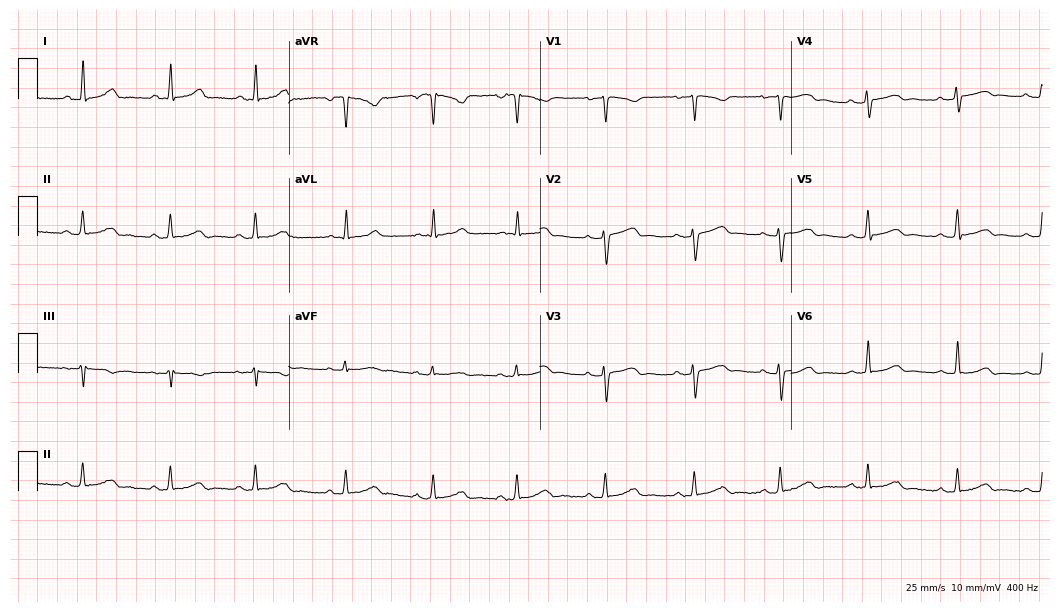
12-lead ECG from a female, 32 years old. No first-degree AV block, right bundle branch block (RBBB), left bundle branch block (LBBB), sinus bradycardia, atrial fibrillation (AF) or sinus tachycardia recorded for this tracing. Only these six findings were labelled.